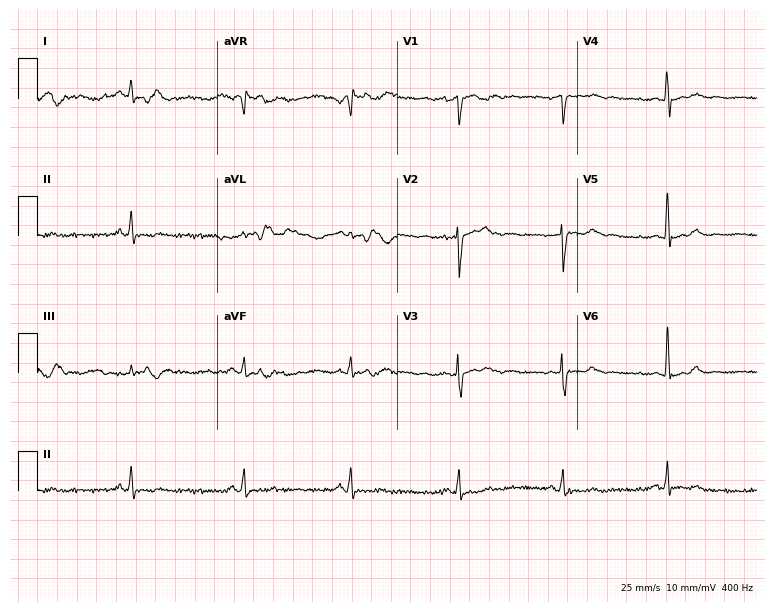
12-lead ECG (7.3-second recording at 400 Hz) from a female patient, 39 years old. Screened for six findings — first-degree AV block, right bundle branch block, left bundle branch block, sinus bradycardia, atrial fibrillation, sinus tachycardia — none is recorded. Other findings, if any, are not listed.